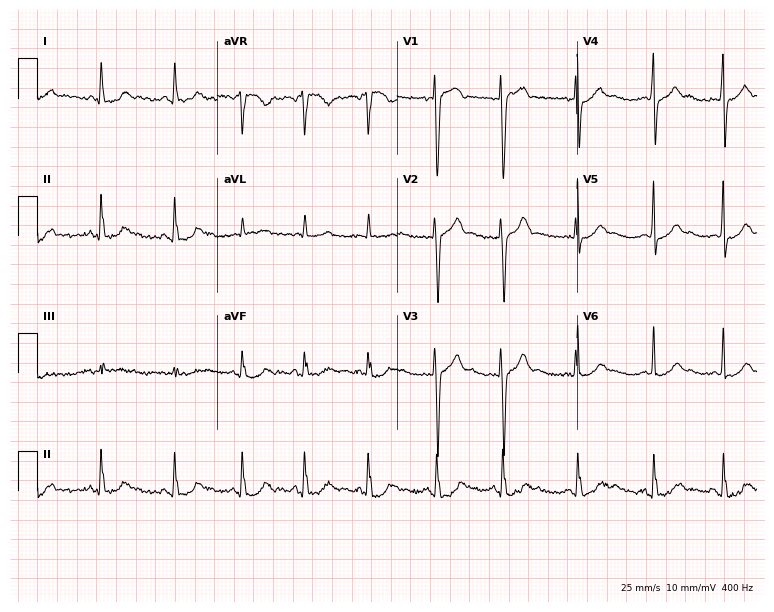
12-lead ECG from a 23-year-old female (7.3-second recording at 400 Hz). Recorded interpretation: within normal limits.